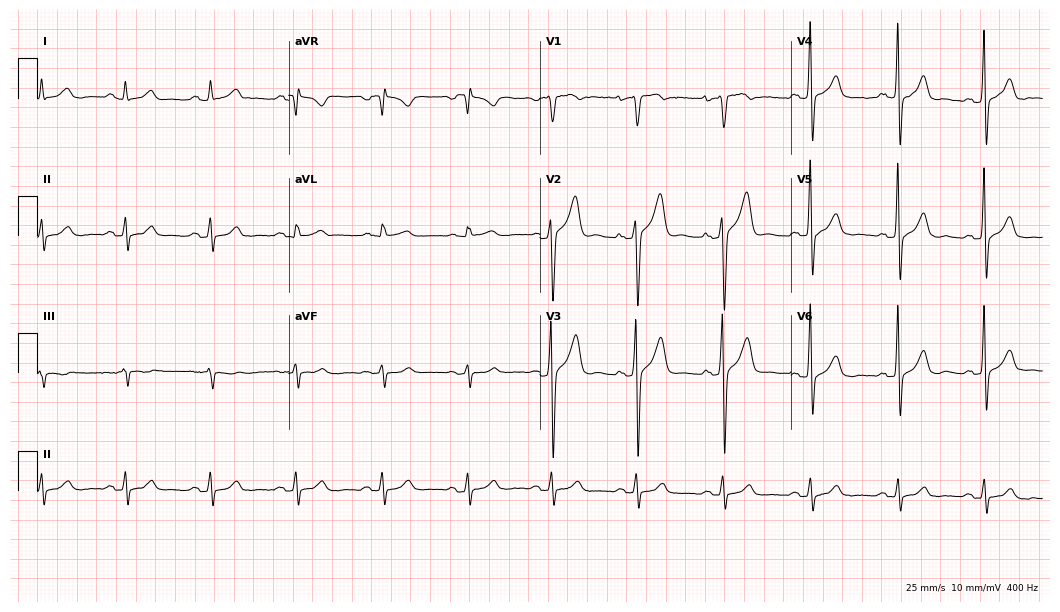
ECG (10.2-second recording at 400 Hz) — a 47-year-old man. Labelled as a normal ECG.